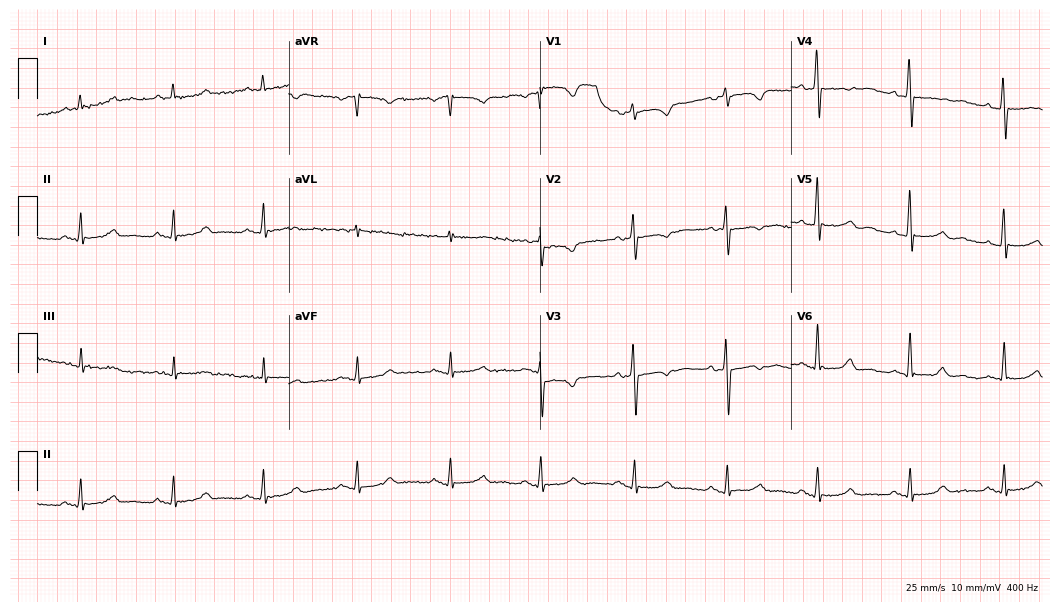
Resting 12-lead electrocardiogram. Patient: a woman, 60 years old. None of these six findings is recorded: first-degree AV block, right bundle branch block, left bundle branch block, sinus bradycardia, atrial fibrillation, sinus tachycardia. Other findings, if any, are not listed.